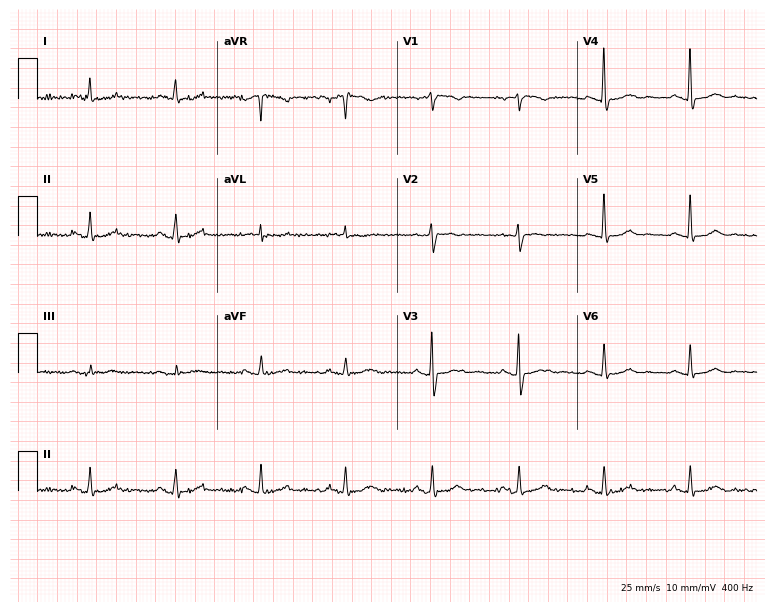
ECG — a female, 64 years old. Labelled as a normal ECG.